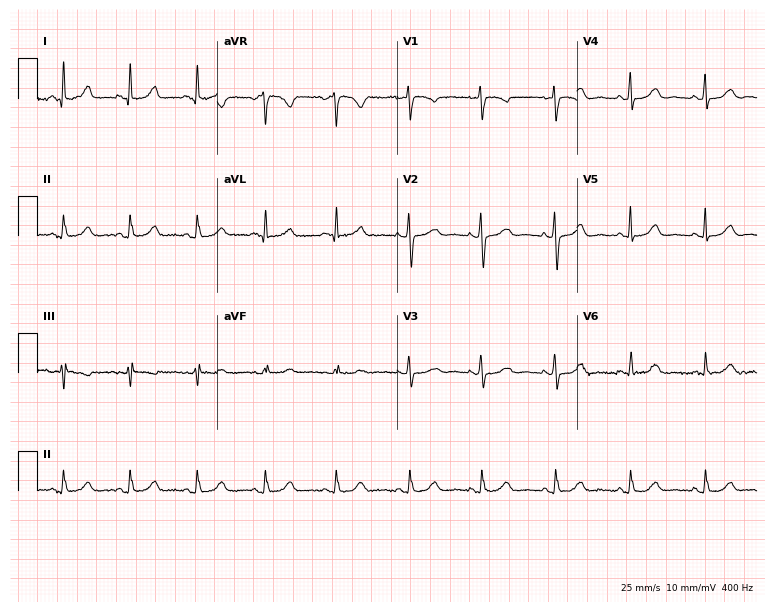
Electrocardiogram (7.3-second recording at 400 Hz), a 49-year-old female. Overall reading on record: normal ECG.